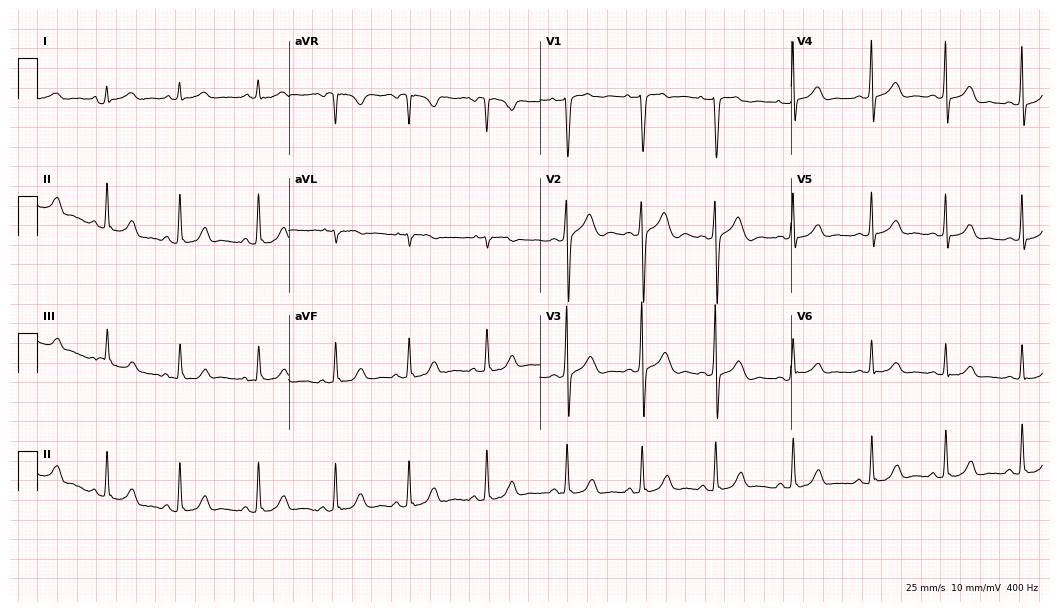
Standard 12-lead ECG recorded from a female patient, 18 years old (10.2-second recording at 400 Hz). Read as a normal ECG.